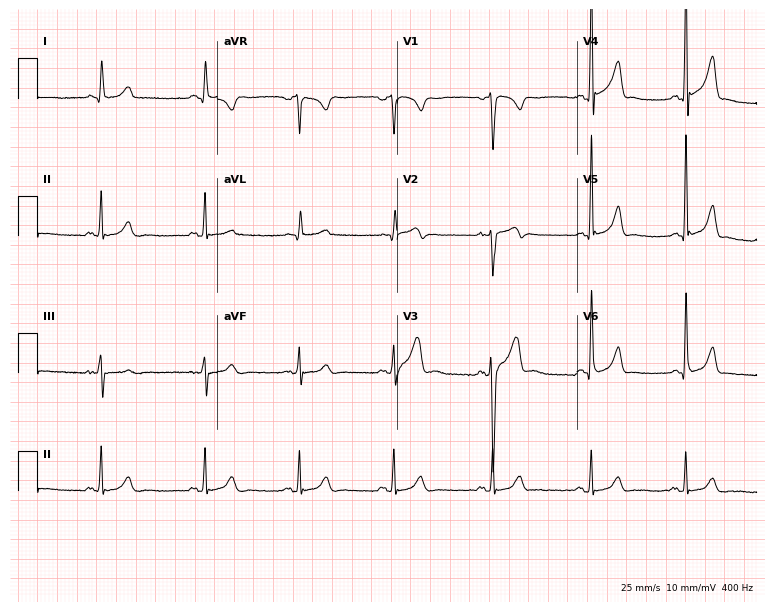
Resting 12-lead electrocardiogram. Patient: a male, 22 years old. None of these six findings is recorded: first-degree AV block, right bundle branch block, left bundle branch block, sinus bradycardia, atrial fibrillation, sinus tachycardia.